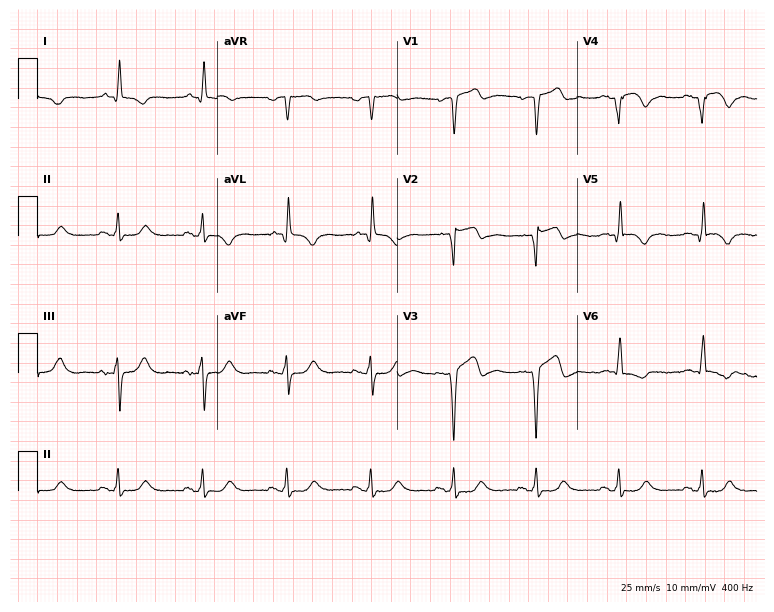
Electrocardiogram, a male, 69 years old. Of the six screened findings (first-degree AV block, right bundle branch block, left bundle branch block, sinus bradycardia, atrial fibrillation, sinus tachycardia), none is recorded. Other findings, if any, are not listed.